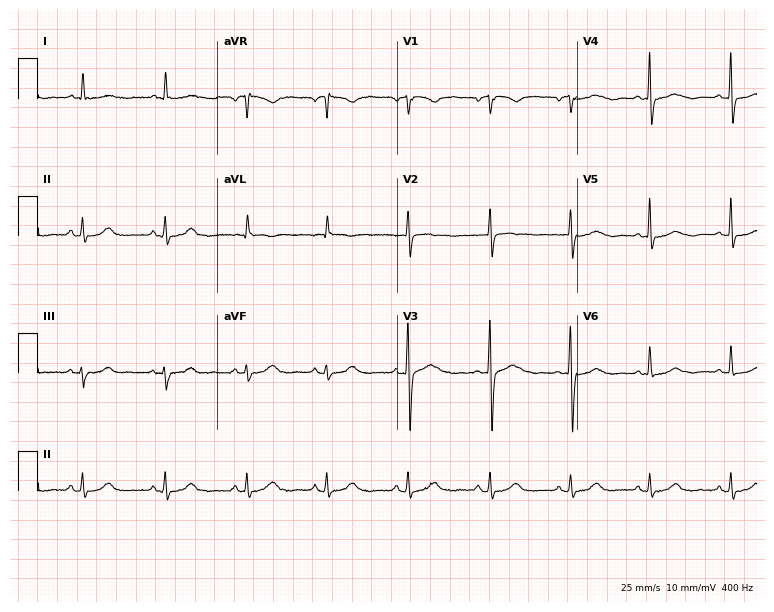
Electrocardiogram, a 63-year-old female patient. Overall reading on record: normal ECG.